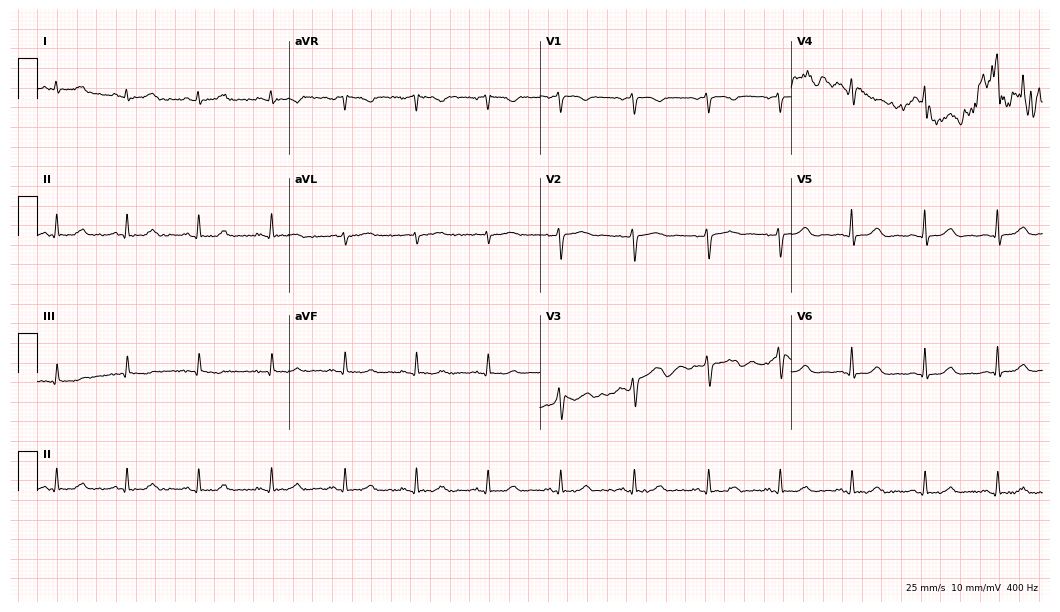
Resting 12-lead electrocardiogram (10.2-second recording at 400 Hz). Patient: a female, 49 years old. Read as a normal ECG.